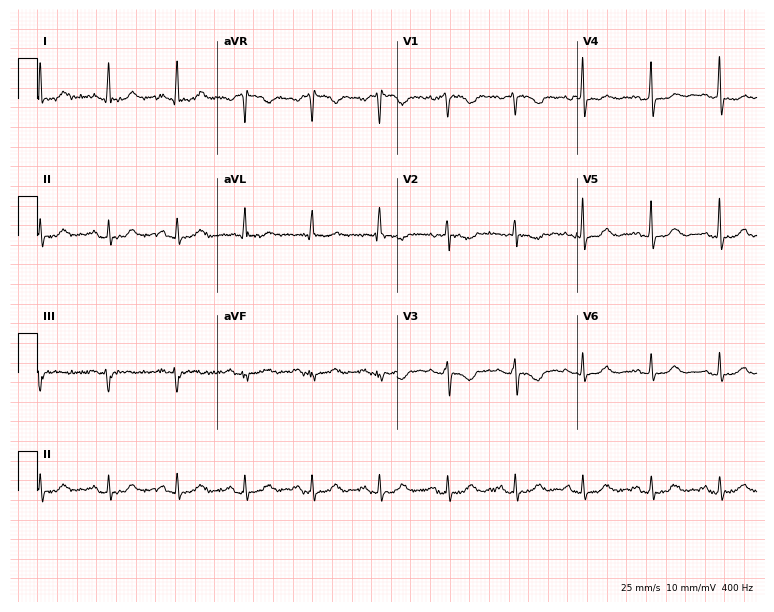
Resting 12-lead electrocardiogram (7.3-second recording at 400 Hz). Patient: a 46-year-old woman. None of these six findings is recorded: first-degree AV block, right bundle branch block, left bundle branch block, sinus bradycardia, atrial fibrillation, sinus tachycardia.